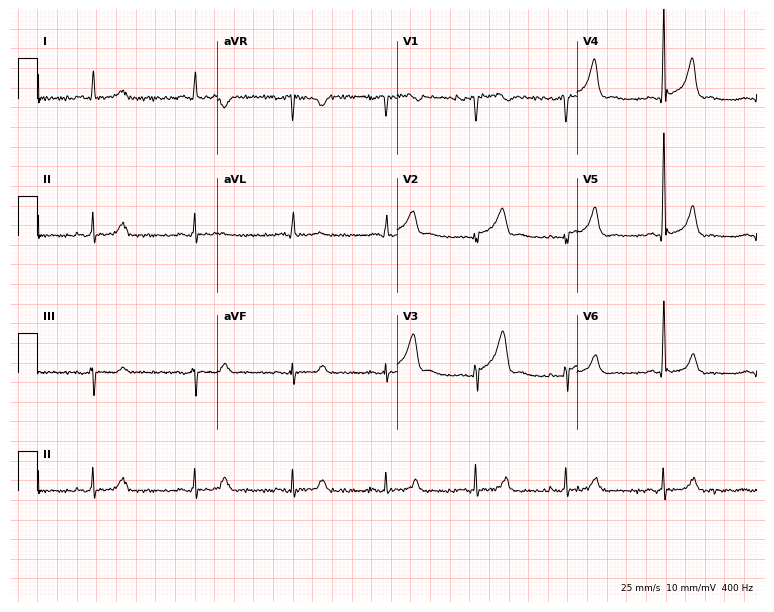
ECG (7.3-second recording at 400 Hz) — a 50-year-old man. Screened for six findings — first-degree AV block, right bundle branch block, left bundle branch block, sinus bradycardia, atrial fibrillation, sinus tachycardia — none is recorded.